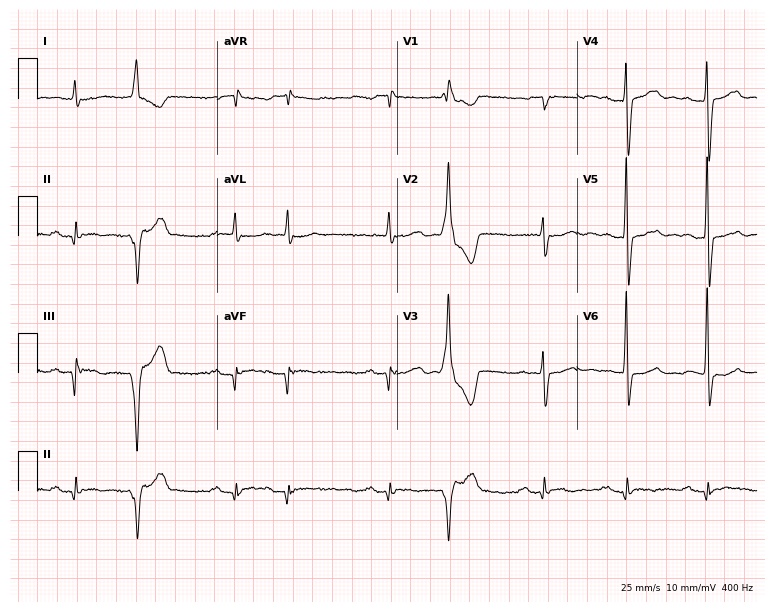
Standard 12-lead ECG recorded from an 80-year-old male (7.3-second recording at 400 Hz). None of these six findings is recorded: first-degree AV block, right bundle branch block, left bundle branch block, sinus bradycardia, atrial fibrillation, sinus tachycardia.